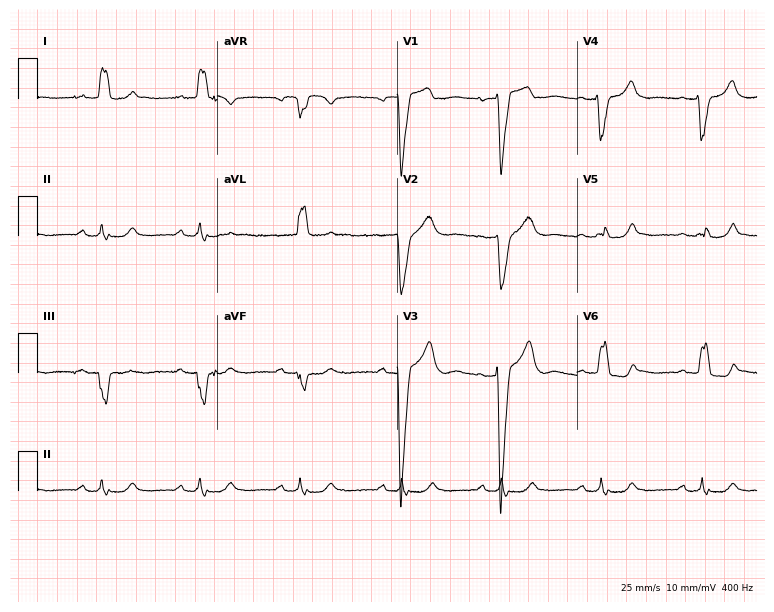
Standard 12-lead ECG recorded from a 40-year-old woman. The tracing shows left bundle branch block (LBBB).